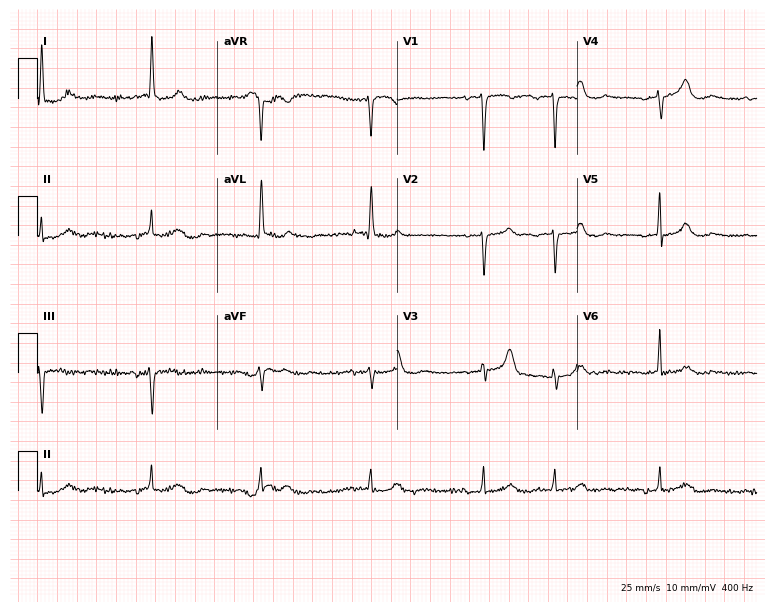
12-lead ECG from an 82-year-old woman. Recorded interpretation: within normal limits.